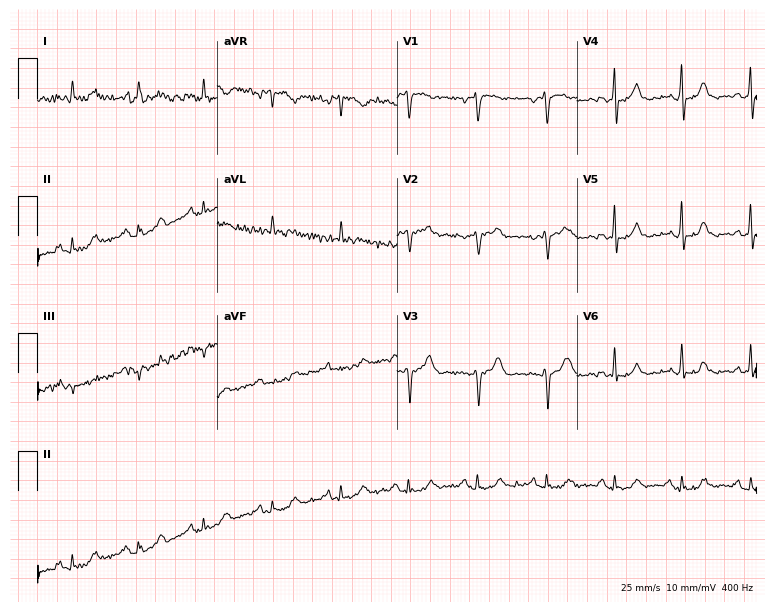
ECG — a 55-year-old woman. Screened for six findings — first-degree AV block, right bundle branch block, left bundle branch block, sinus bradycardia, atrial fibrillation, sinus tachycardia — none is recorded. Only these six findings were labelled.